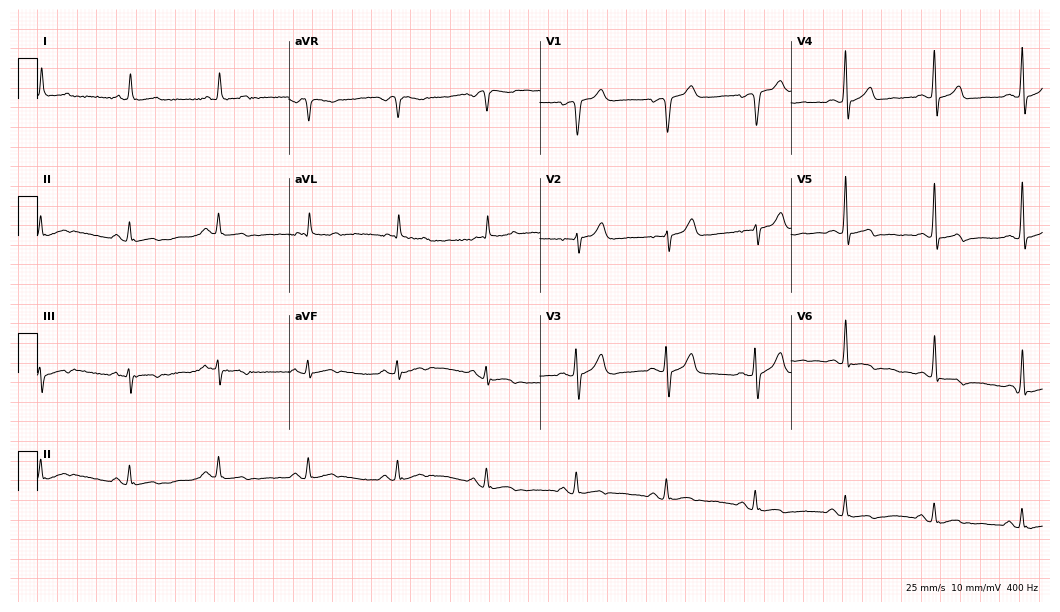
Standard 12-lead ECG recorded from a male patient, 83 years old. None of these six findings is recorded: first-degree AV block, right bundle branch block, left bundle branch block, sinus bradycardia, atrial fibrillation, sinus tachycardia. Findings outside these six are not listed.